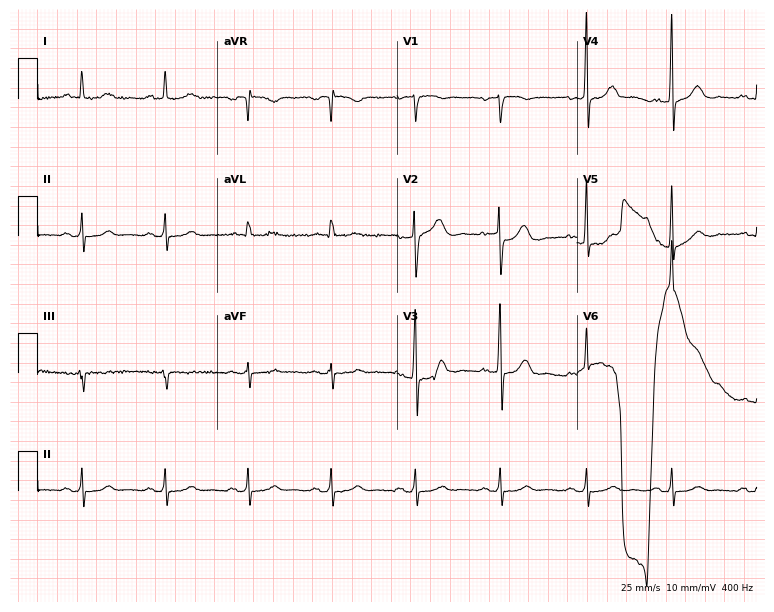
12-lead ECG from a 72-year-old male patient. Labelled as a normal ECG.